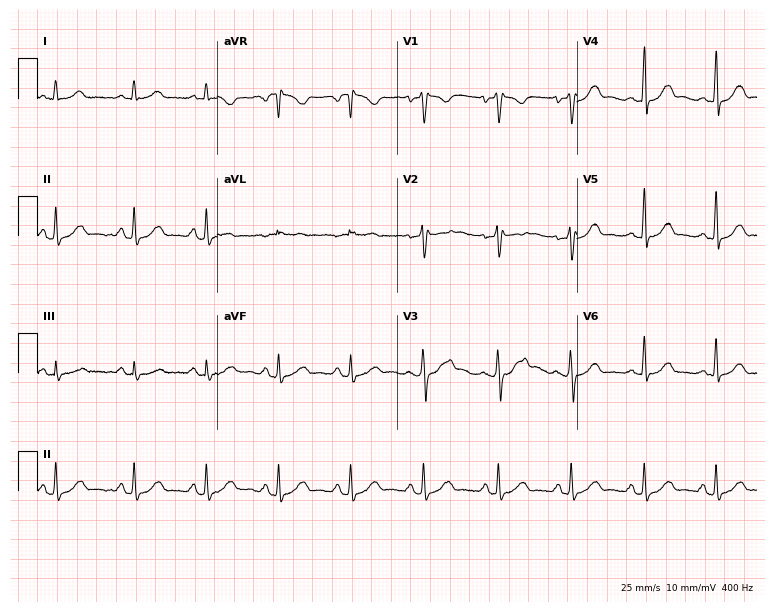
Electrocardiogram (7.3-second recording at 400 Hz), a male, 51 years old. Of the six screened findings (first-degree AV block, right bundle branch block (RBBB), left bundle branch block (LBBB), sinus bradycardia, atrial fibrillation (AF), sinus tachycardia), none is recorded. Findings outside these six are not listed.